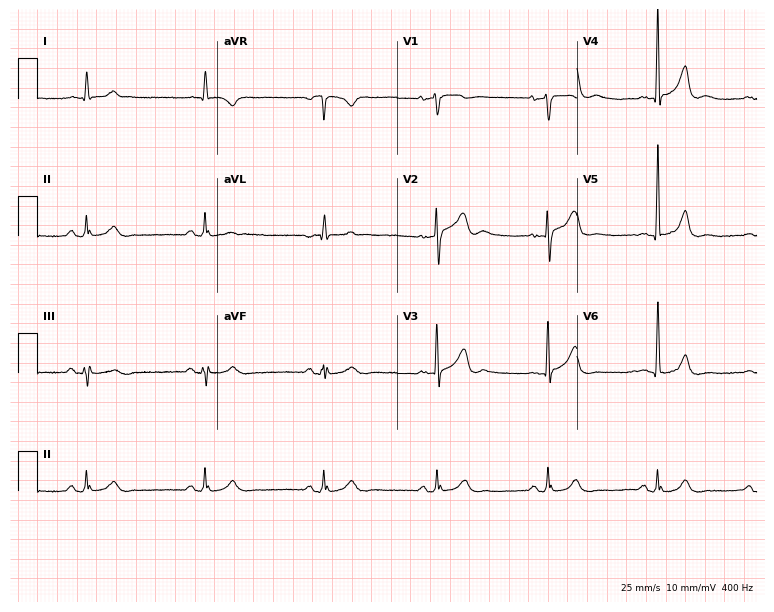
Electrocardiogram (7.3-second recording at 400 Hz), a 78-year-old male. Of the six screened findings (first-degree AV block, right bundle branch block, left bundle branch block, sinus bradycardia, atrial fibrillation, sinus tachycardia), none is recorded. Only these six findings were labelled.